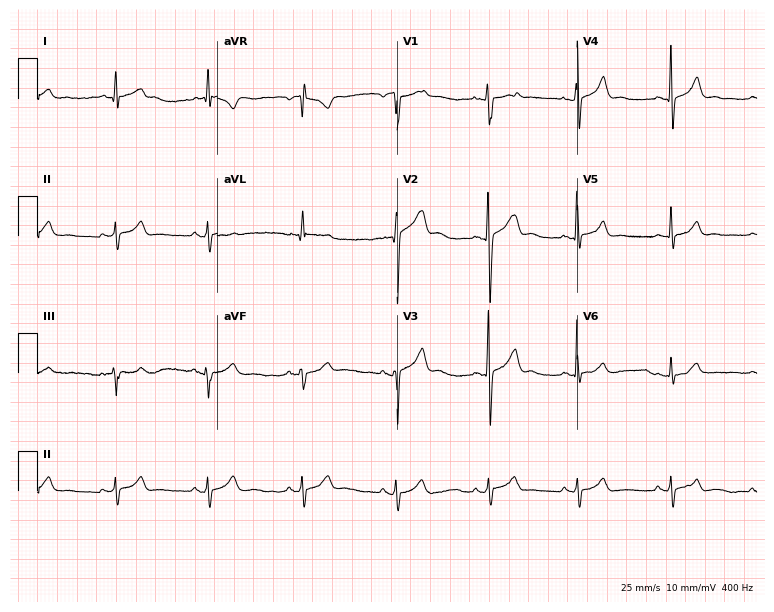
Standard 12-lead ECG recorded from a 17-year-old male (7.3-second recording at 400 Hz). Read as a normal ECG.